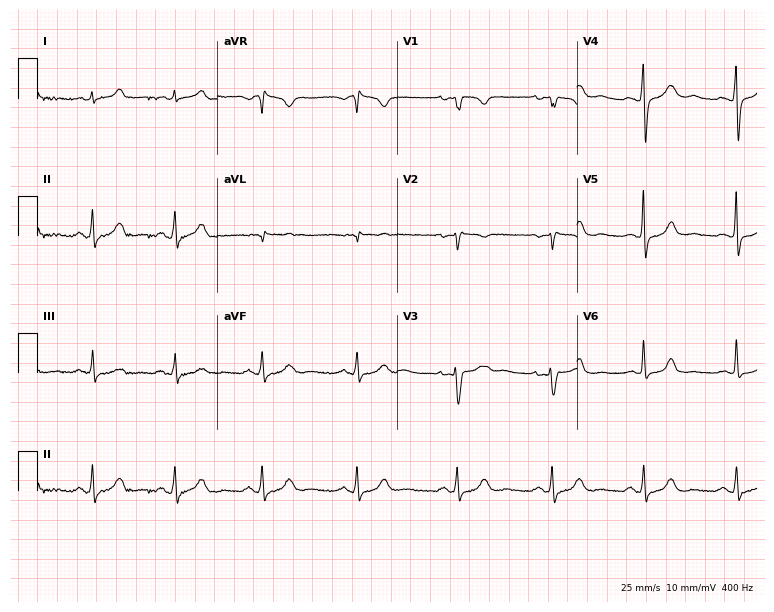
Standard 12-lead ECG recorded from a 24-year-old female patient. None of these six findings is recorded: first-degree AV block, right bundle branch block, left bundle branch block, sinus bradycardia, atrial fibrillation, sinus tachycardia. Other findings, if any, are not listed.